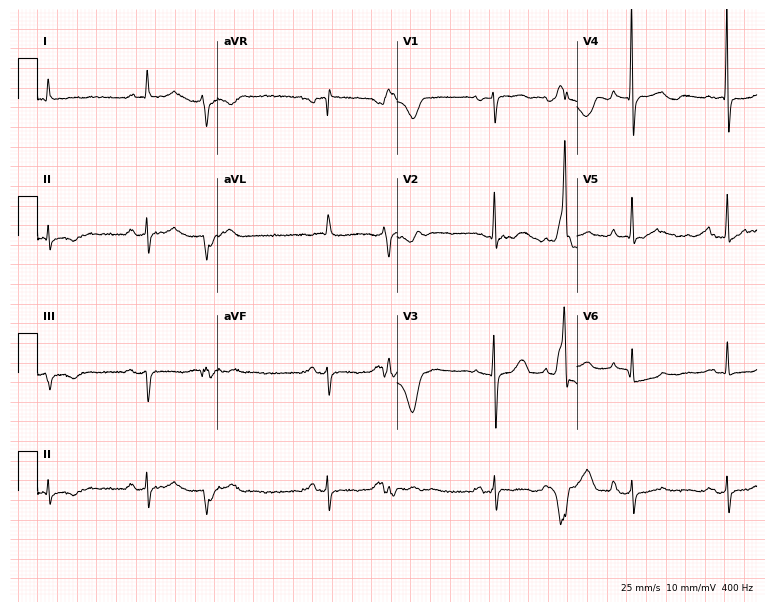
ECG (7.3-second recording at 400 Hz) — a female, 84 years old. Screened for six findings — first-degree AV block, right bundle branch block (RBBB), left bundle branch block (LBBB), sinus bradycardia, atrial fibrillation (AF), sinus tachycardia — none is recorded. Findings outside these six are not listed.